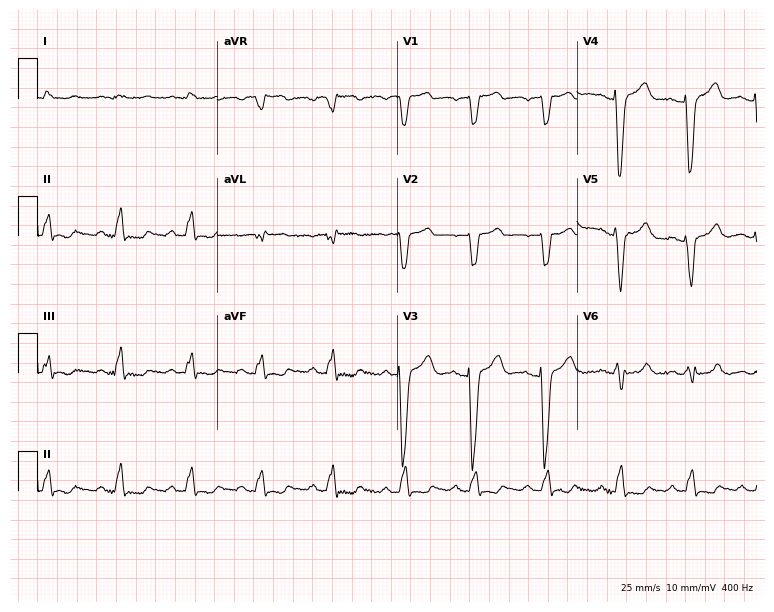
Electrocardiogram, a 70-year-old male. Interpretation includes left bundle branch block (LBBB).